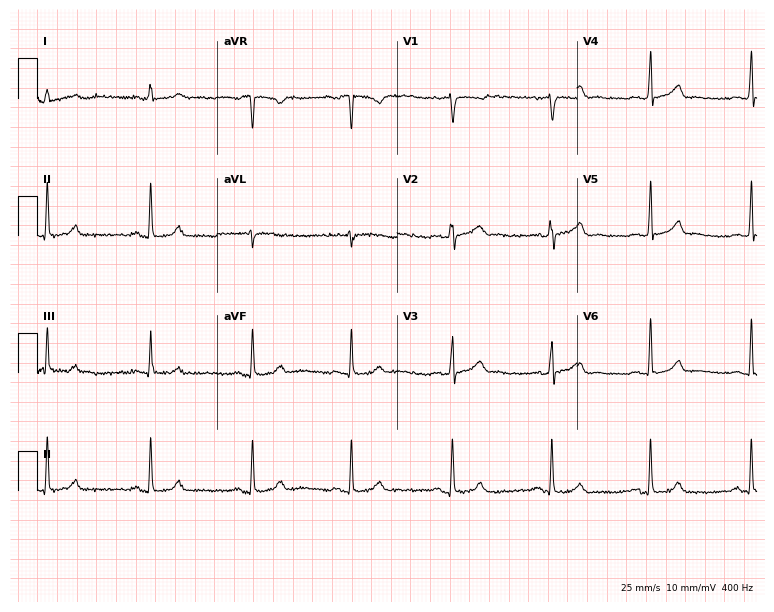
12-lead ECG (7.3-second recording at 400 Hz) from a female patient, 31 years old. Labelled as a normal ECG.